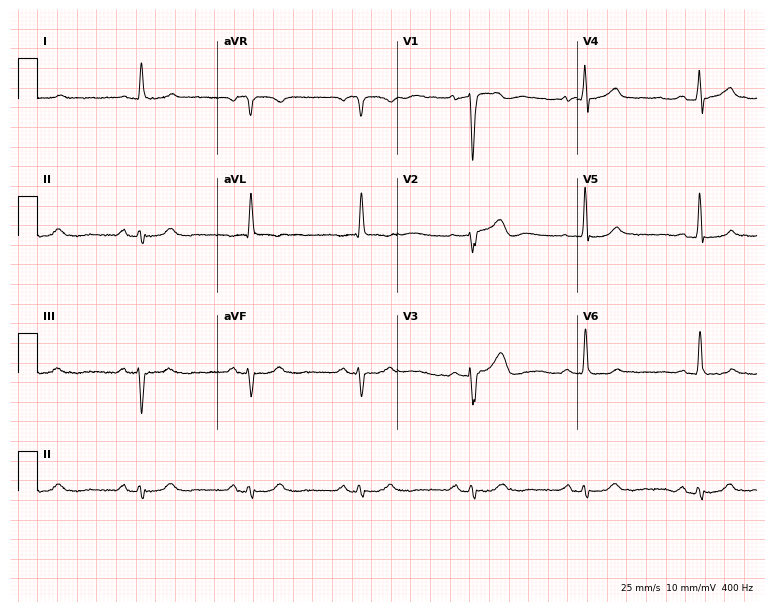
Electrocardiogram (7.3-second recording at 400 Hz), a 77-year-old man. Overall reading on record: normal ECG.